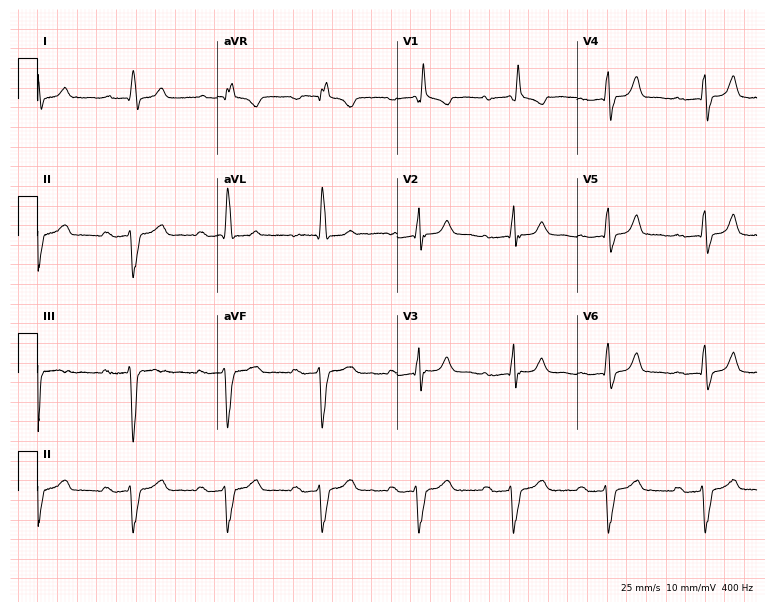
Standard 12-lead ECG recorded from a 69-year-old woman. The tracing shows first-degree AV block, right bundle branch block.